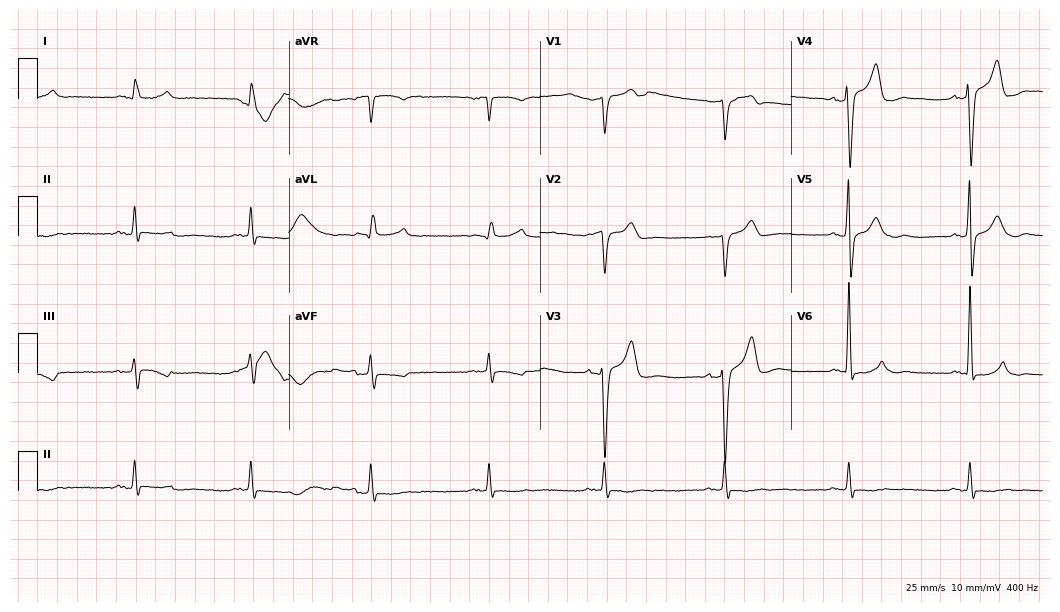
Standard 12-lead ECG recorded from a man, 65 years old (10.2-second recording at 400 Hz). None of these six findings is recorded: first-degree AV block, right bundle branch block, left bundle branch block, sinus bradycardia, atrial fibrillation, sinus tachycardia. Findings outside these six are not listed.